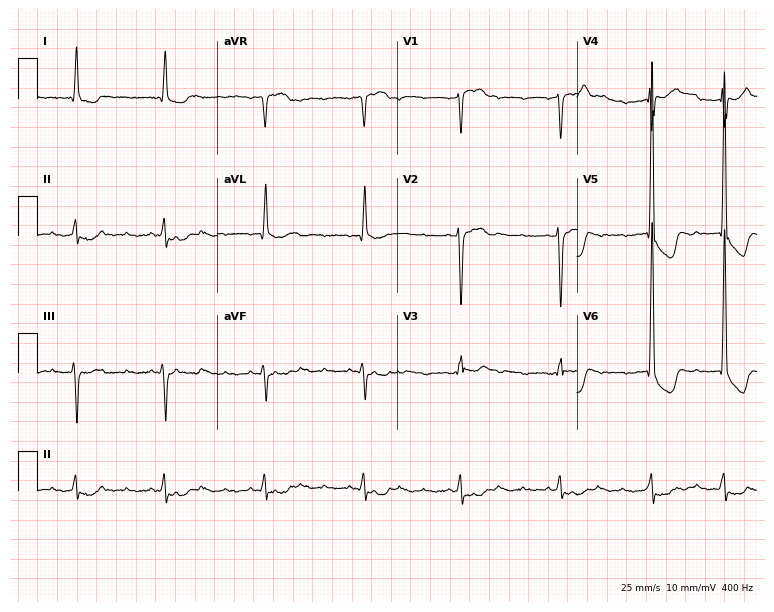
Standard 12-lead ECG recorded from a male patient, 81 years old (7.3-second recording at 400 Hz). The tracing shows atrial fibrillation (AF).